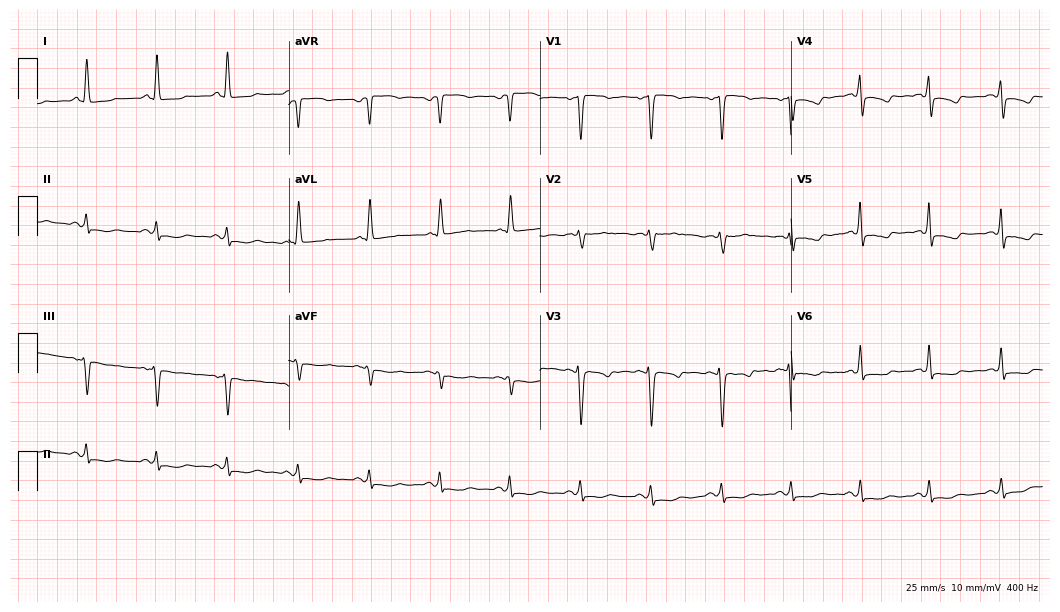
ECG (10.2-second recording at 400 Hz) — a 64-year-old female patient. Screened for six findings — first-degree AV block, right bundle branch block, left bundle branch block, sinus bradycardia, atrial fibrillation, sinus tachycardia — none is recorded.